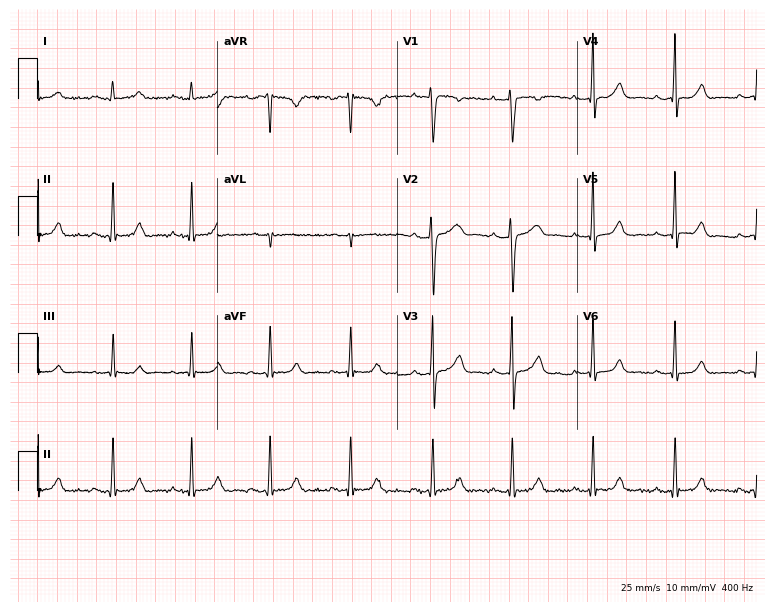
Electrocardiogram, a 38-year-old female patient. Of the six screened findings (first-degree AV block, right bundle branch block, left bundle branch block, sinus bradycardia, atrial fibrillation, sinus tachycardia), none is recorded. Findings outside these six are not listed.